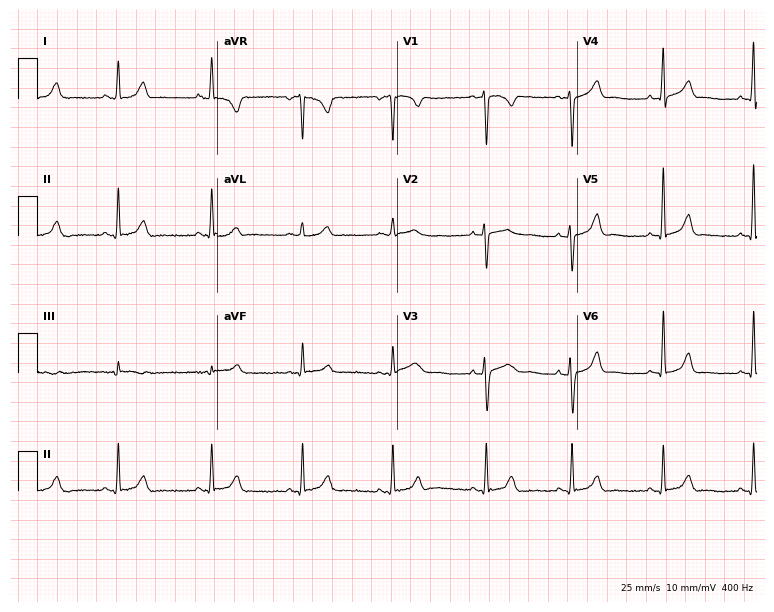
12-lead ECG from a 36-year-old female. Labelled as a normal ECG.